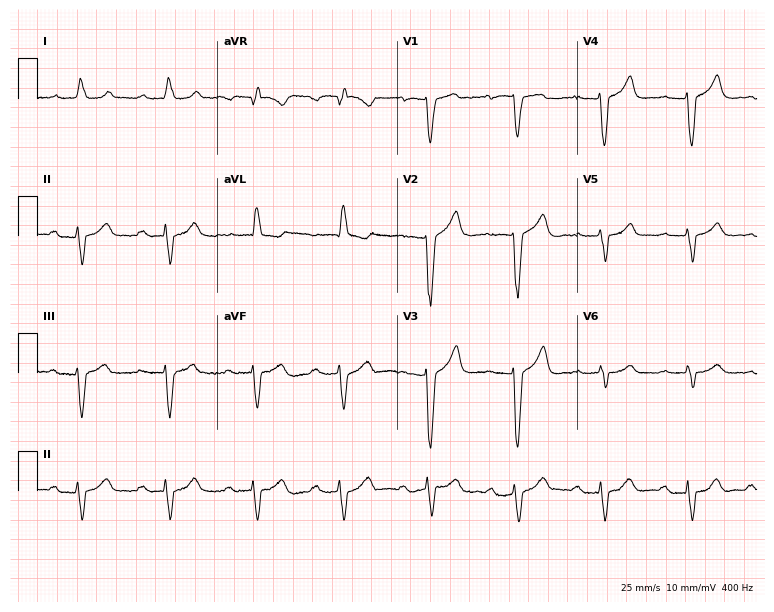
12-lead ECG (7.3-second recording at 400 Hz) from an 83-year-old female. Screened for six findings — first-degree AV block, right bundle branch block, left bundle branch block, sinus bradycardia, atrial fibrillation, sinus tachycardia — none is recorded.